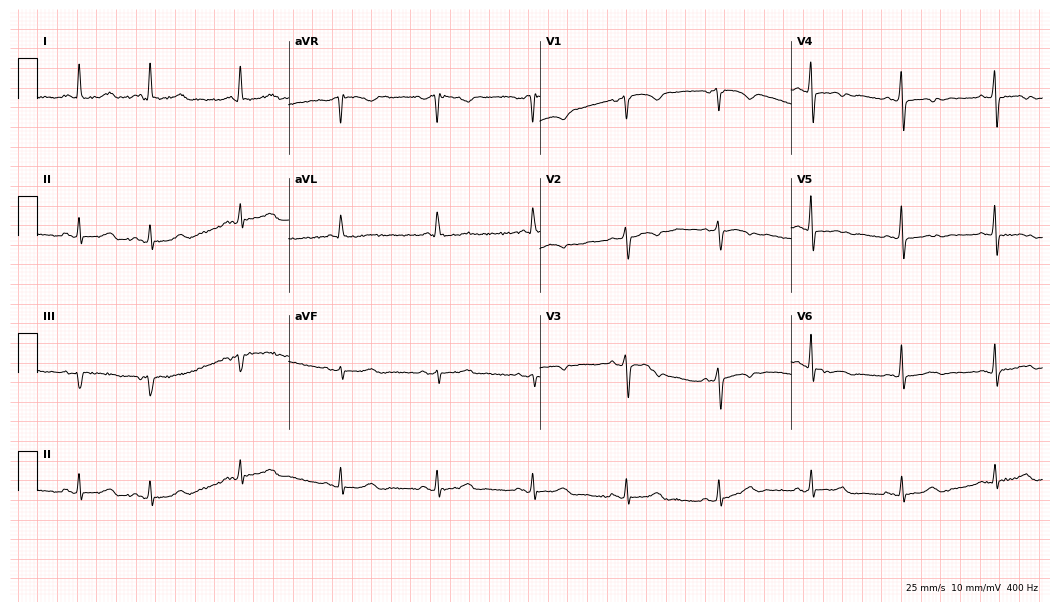
Standard 12-lead ECG recorded from a 77-year-old female patient (10.2-second recording at 400 Hz). None of these six findings is recorded: first-degree AV block, right bundle branch block, left bundle branch block, sinus bradycardia, atrial fibrillation, sinus tachycardia.